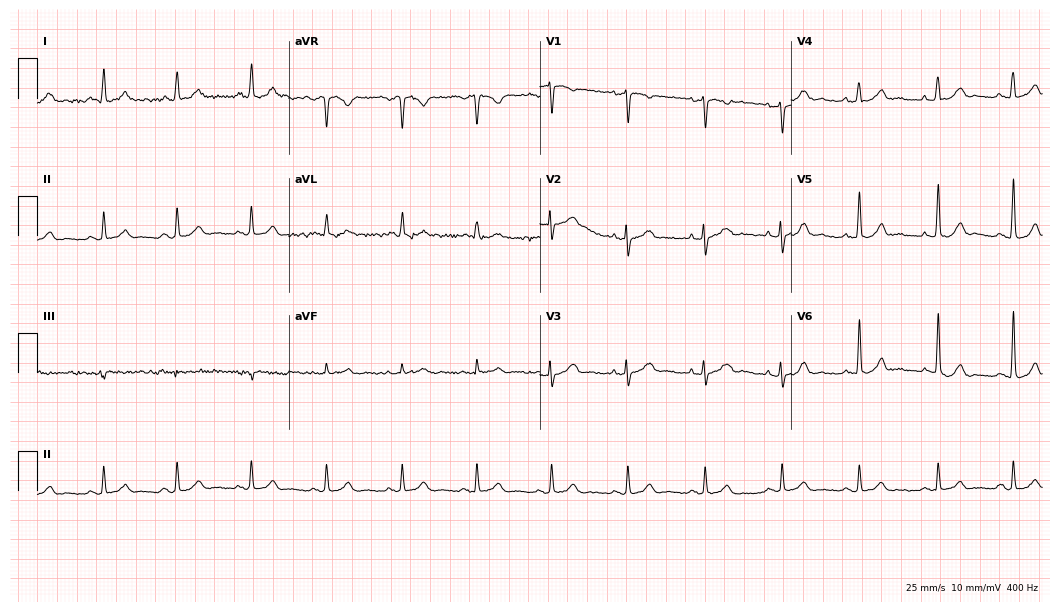
Resting 12-lead electrocardiogram (10.2-second recording at 400 Hz). Patient: a female, 50 years old. Read as a normal ECG.